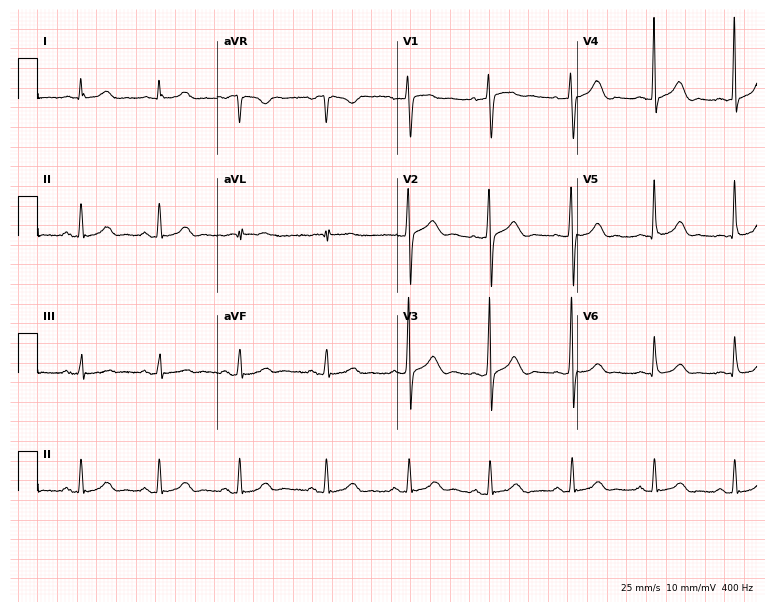
12-lead ECG from a male patient, 53 years old. Labelled as a normal ECG.